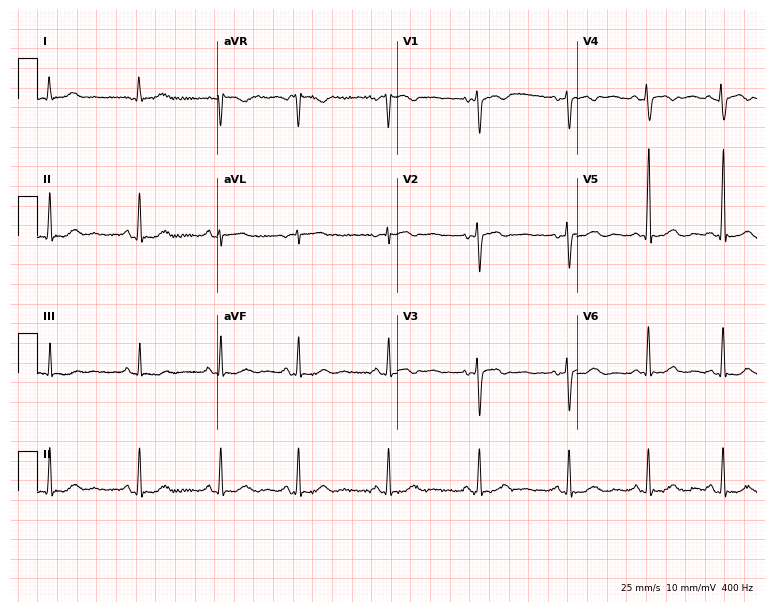
12-lead ECG from a 30-year-old woman. Screened for six findings — first-degree AV block, right bundle branch block, left bundle branch block, sinus bradycardia, atrial fibrillation, sinus tachycardia — none is recorded. Other findings, if any, are not listed.